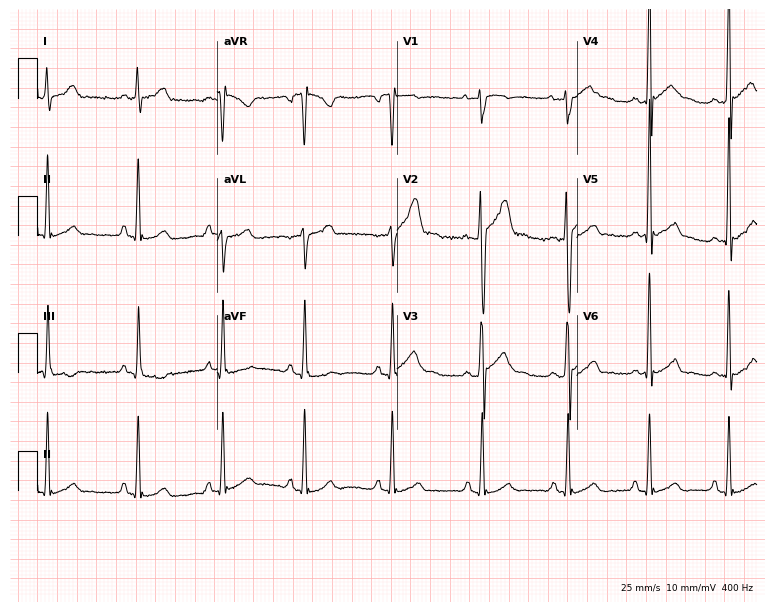
Standard 12-lead ECG recorded from a 23-year-old man. Read as a normal ECG.